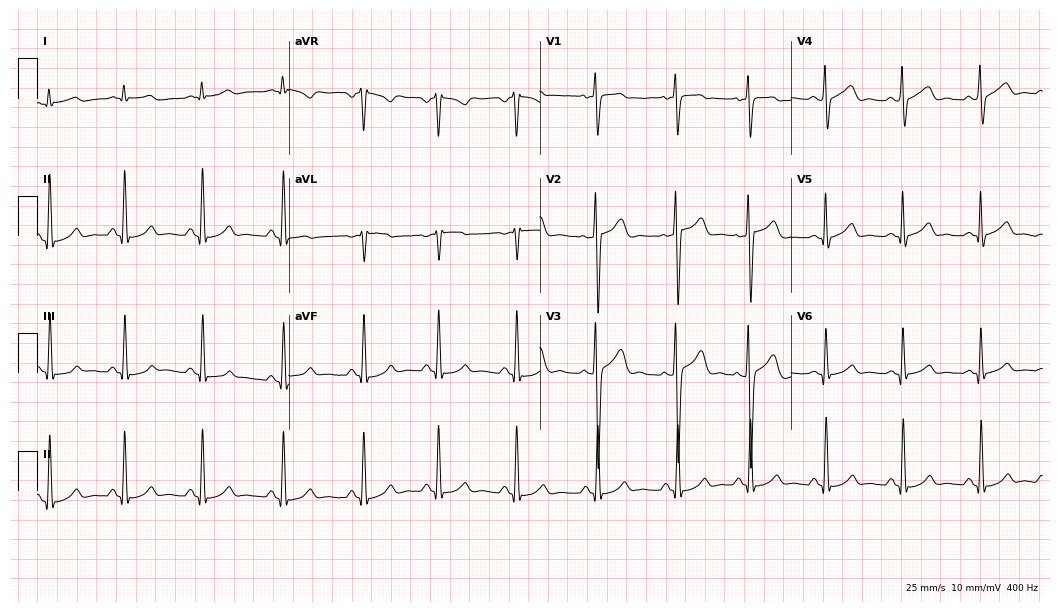
ECG (10.2-second recording at 400 Hz) — a male, 25 years old. Labelled as a normal ECG.